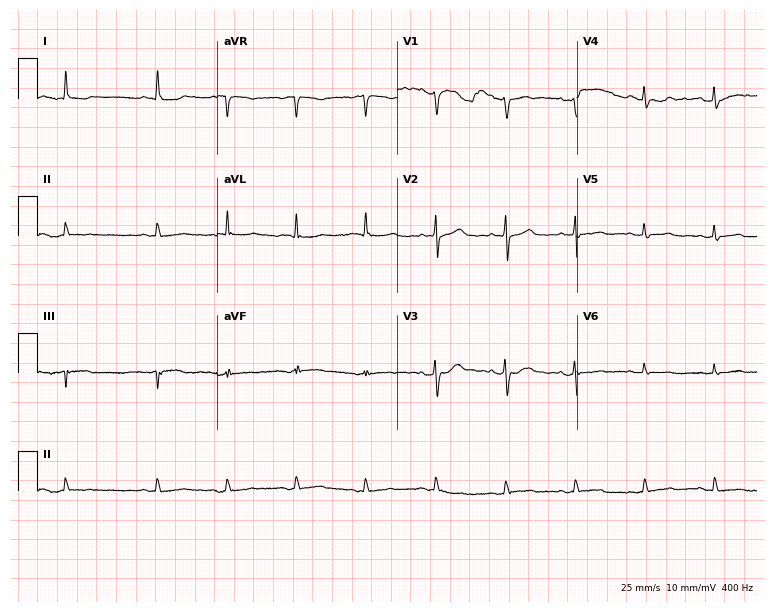
Electrocardiogram (7.3-second recording at 400 Hz), a 78-year-old woman. Of the six screened findings (first-degree AV block, right bundle branch block, left bundle branch block, sinus bradycardia, atrial fibrillation, sinus tachycardia), none is recorded.